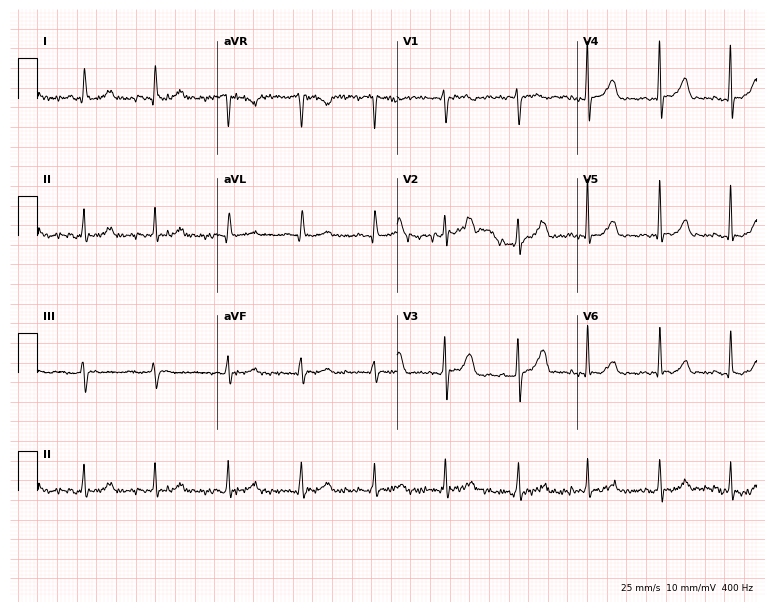
Resting 12-lead electrocardiogram (7.3-second recording at 400 Hz). Patient: a woman, 54 years old. Read as a normal ECG.